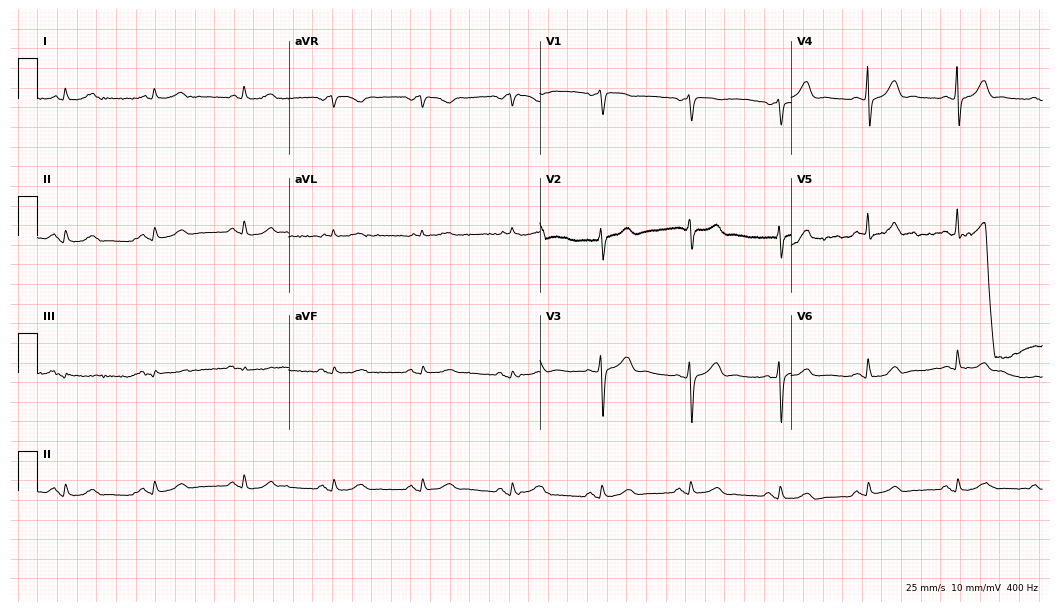
Electrocardiogram, a female, 63 years old. Overall reading on record: normal ECG.